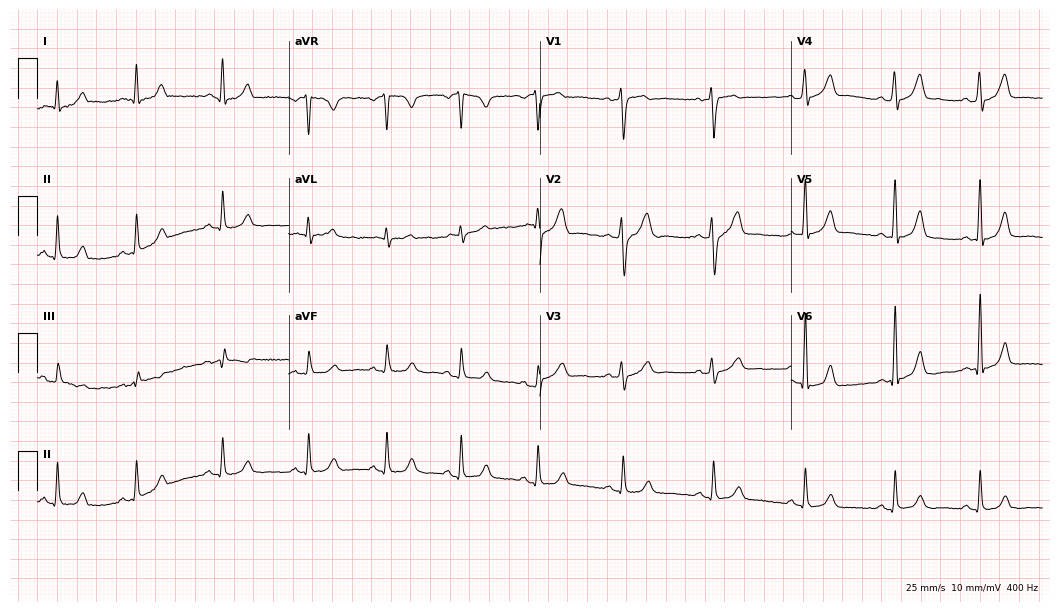
Electrocardiogram (10.2-second recording at 400 Hz), a man, 39 years old. Overall reading on record: normal ECG.